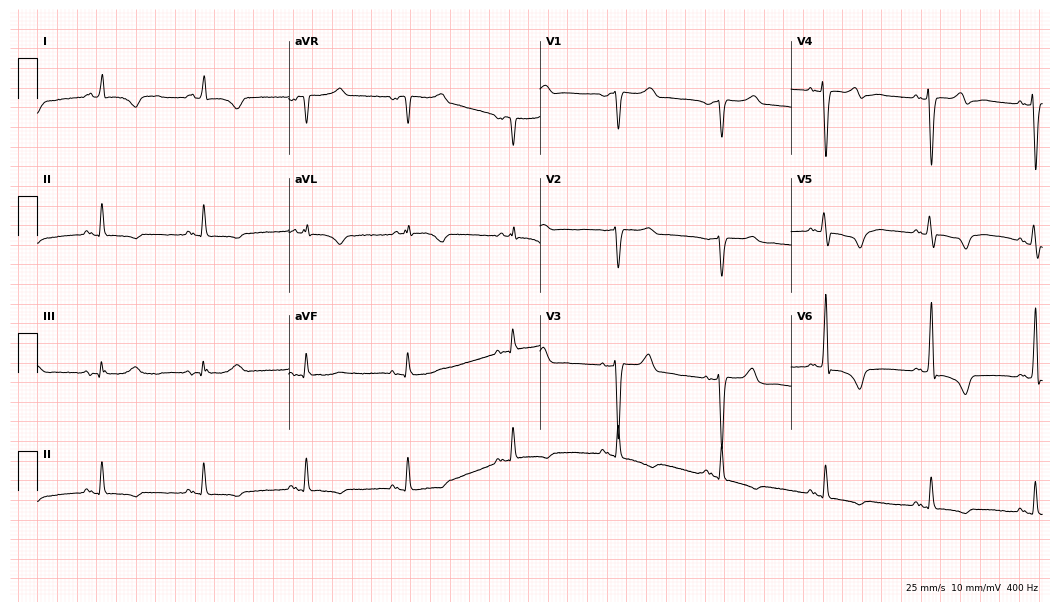
Standard 12-lead ECG recorded from a man, 69 years old. None of these six findings is recorded: first-degree AV block, right bundle branch block, left bundle branch block, sinus bradycardia, atrial fibrillation, sinus tachycardia. Only these six findings were labelled.